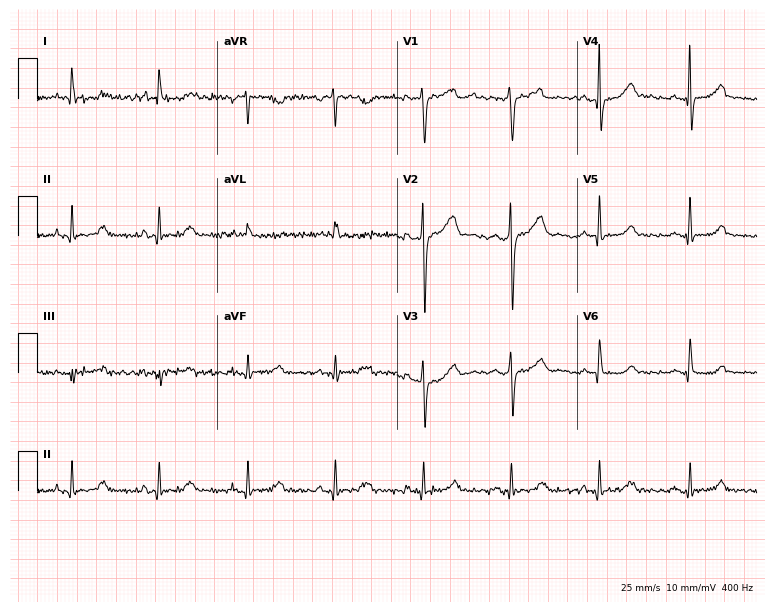
12-lead ECG from a female patient, 50 years old. Recorded interpretation: within normal limits.